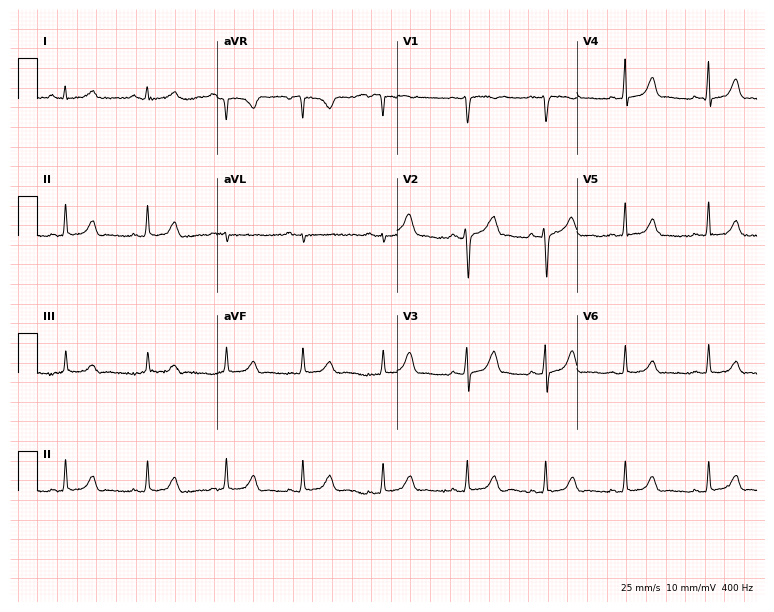
12-lead ECG from a 31-year-old female. Labelled as a normal ECG.